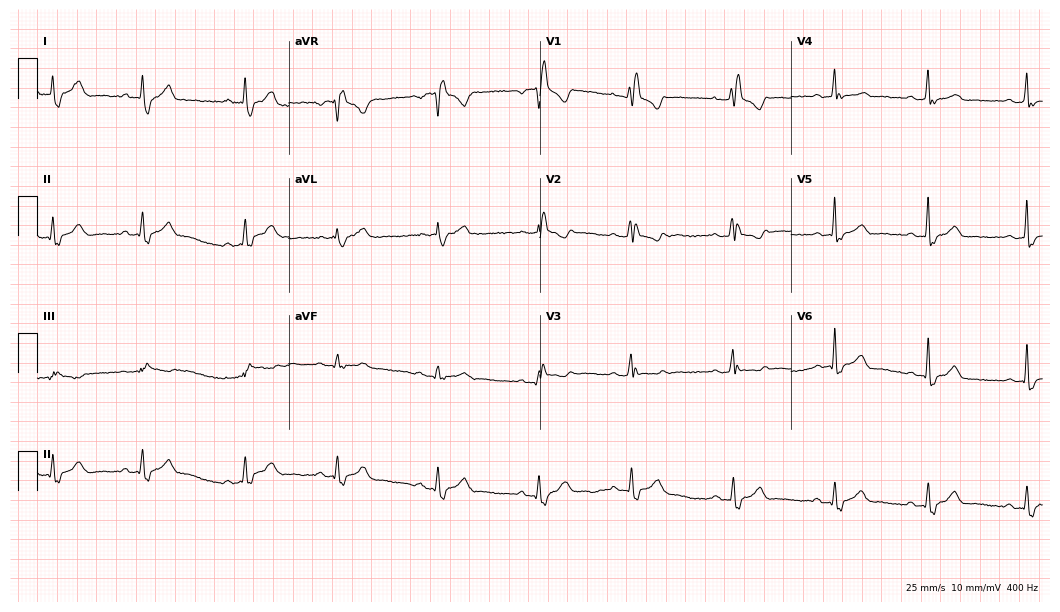
Electrocardiogram, a woman, 31 years old. Interpretation includes right bundle branch block (RBBB).